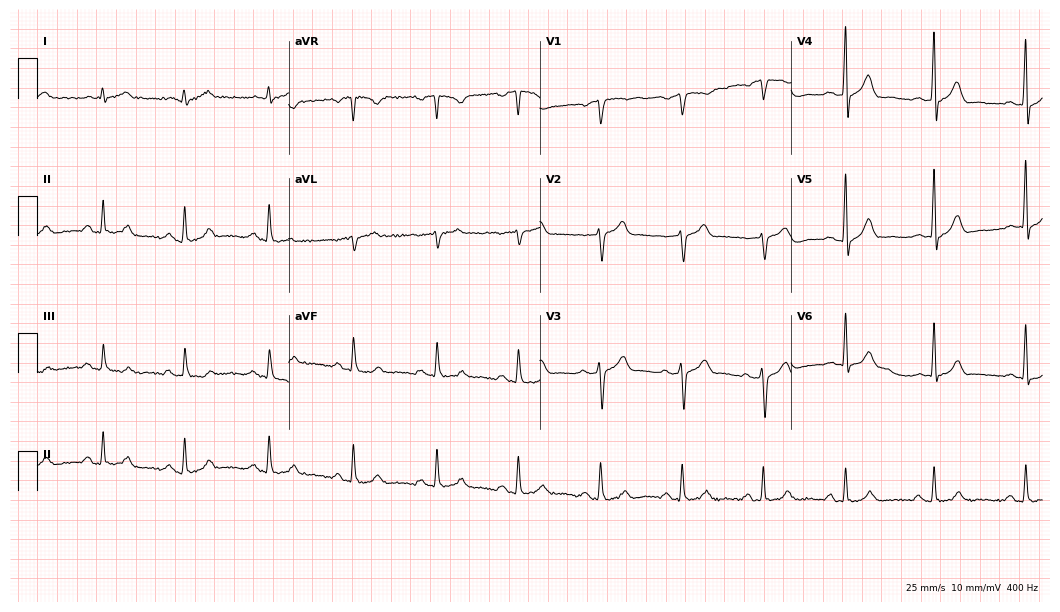
Standard 12-lead ECG recorded from a male patient, 54 years old. Read as a normal ECG.